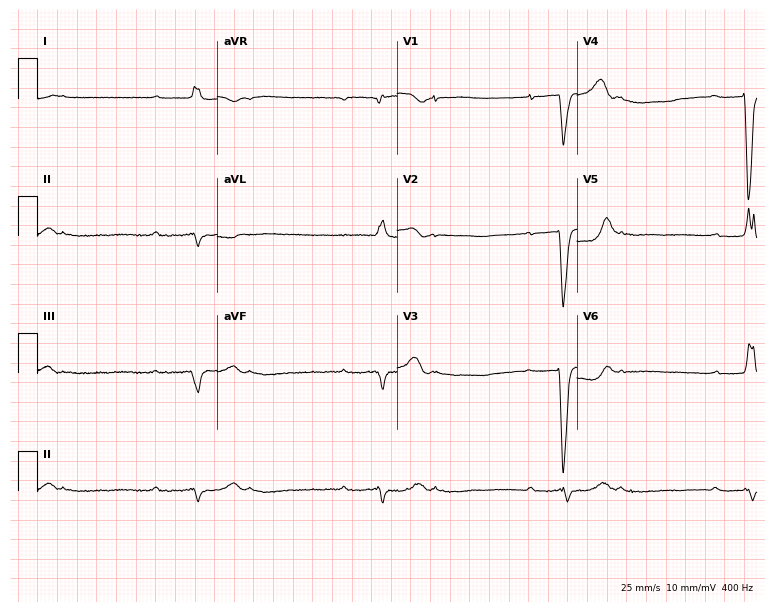
ECG (7.3-second recording at 400 Hz) — a male, 84 years old. Screened for six findings — first-degree AV block, right bundle branch block, left bundle branch block, sinus bradycardia, atrial fibrillation, sinus tachycardia — none is recorded. Findings outside these six are not listed.